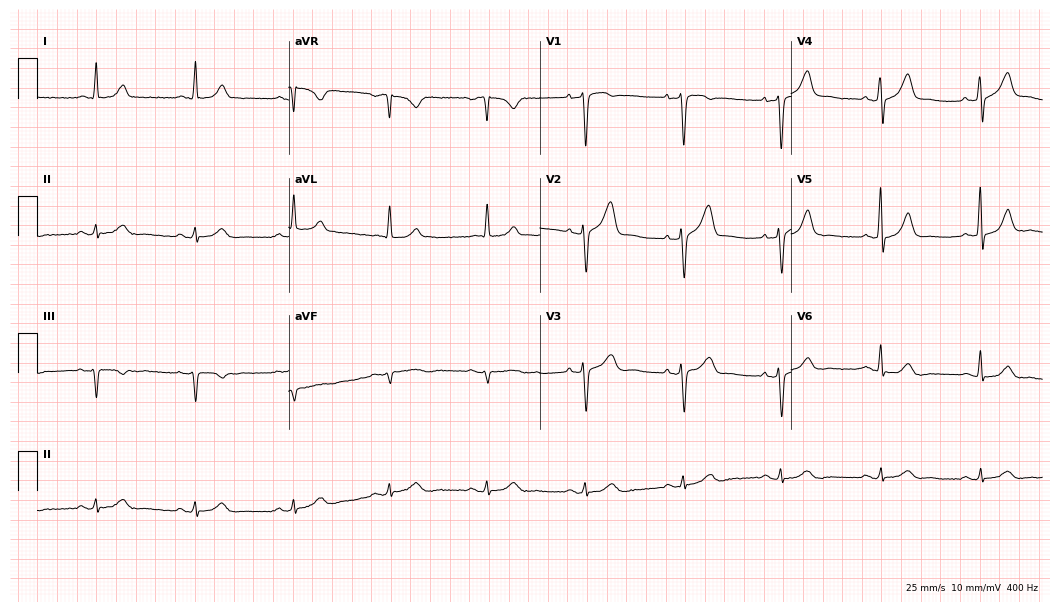
Standard 12-lead ECG recorded from a 68-year-old female. Read as a normal ECG.